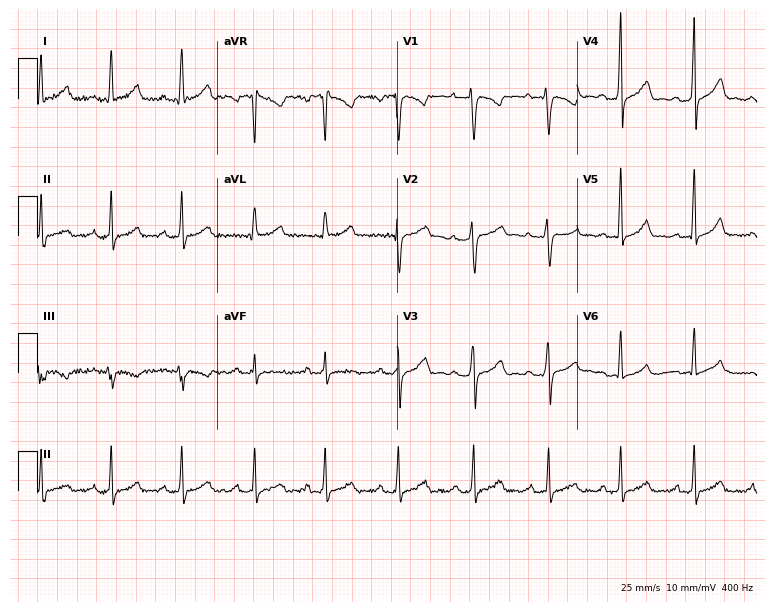
Electrocardiogram (7.3-second recording at 400 Hz), a female, 28 years old. Of the six screened findings (first-degree AV block, right bundle branch block, left bundle branch block, sinus bradycardia, atrial fibrillation, sinus tachycardia), none is recorded.